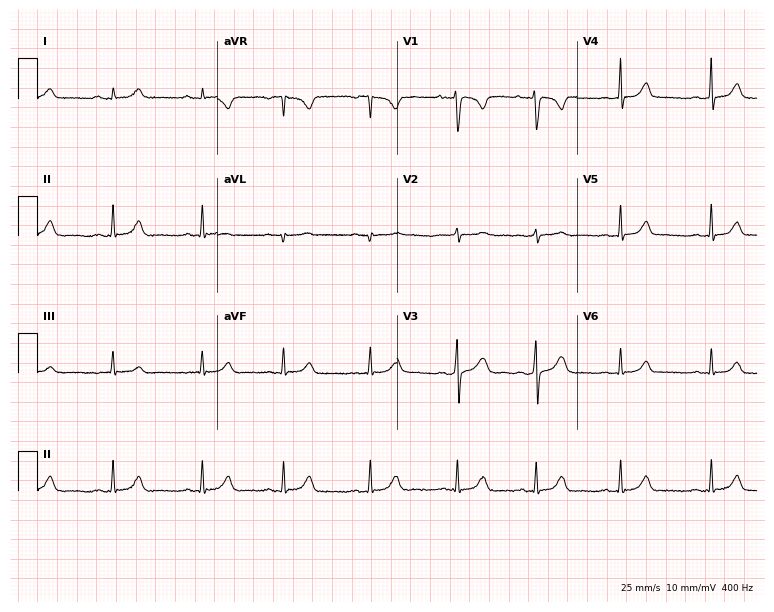
12-lead ECG from an 18-year-old woman (7.3-second recording at 400 Hz). Recorded interpretation: within normal limits.